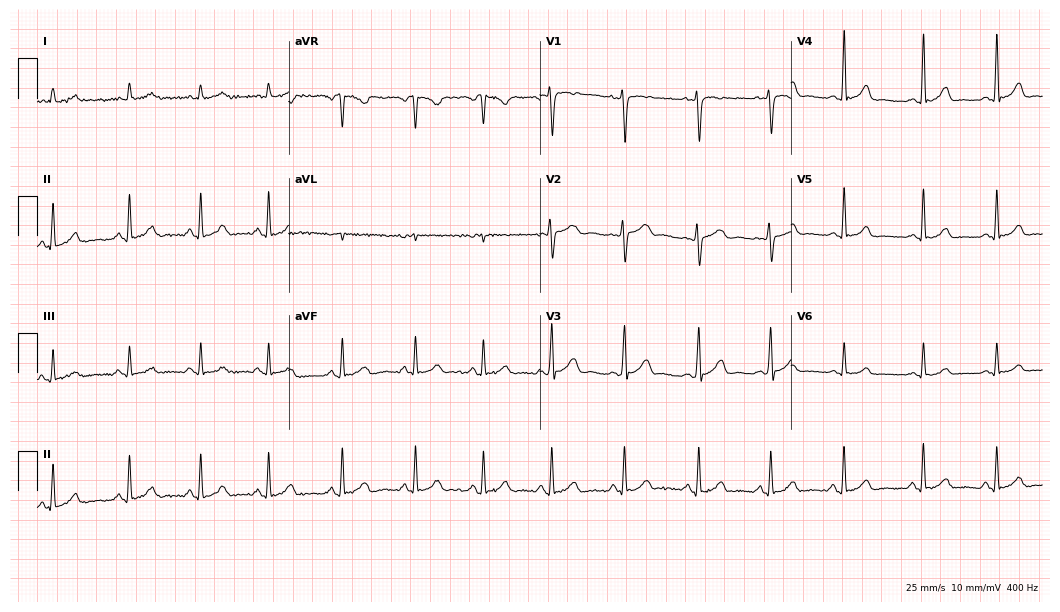
Resting 12-lead electrocardiogram (10.2-second recording at 400 Hz). Patient: a 22-year-old woman. None of these six findings is recorded: first-degree AV block, right bundle branch block, left bundle branch block, sinus bradycardia, atrial fibrillation, sinus tachycardia.